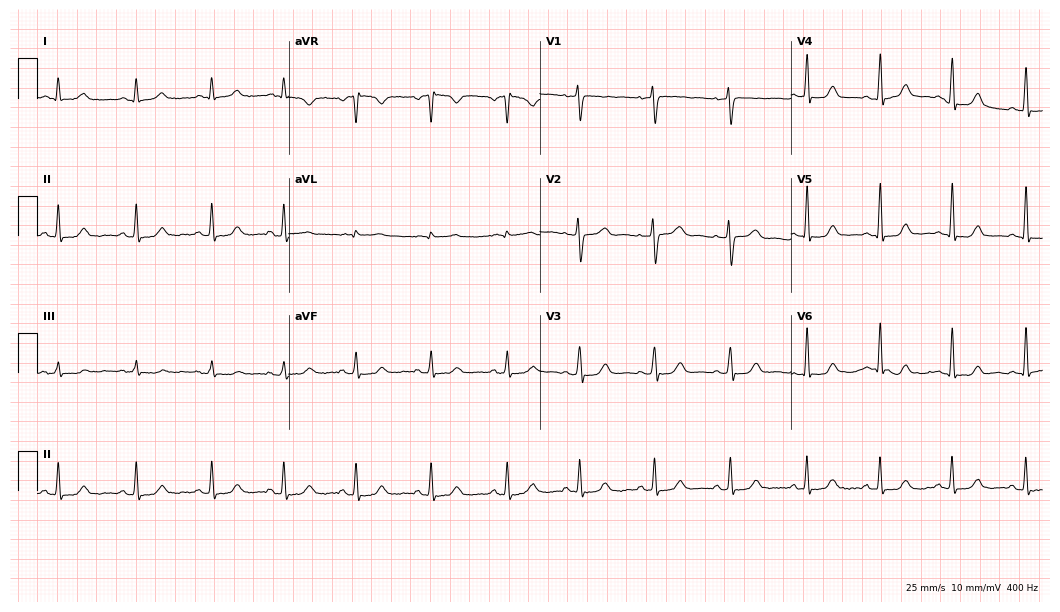
Standard 12-lead ECG recorded from a 36-year-old female patient (10.2-second recording at 400 Hz). Read as a normal ECG.